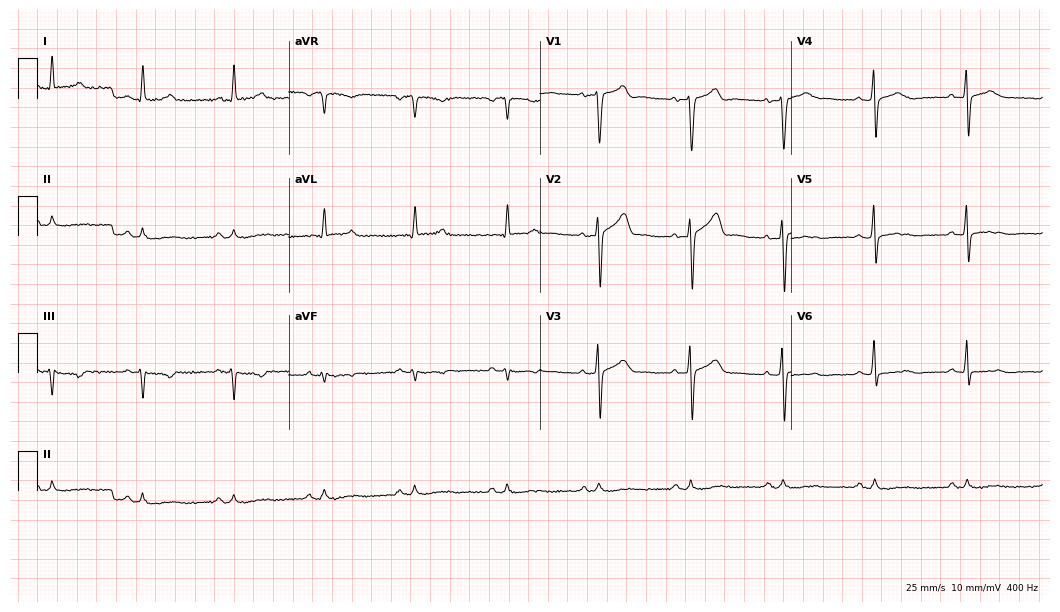
Electrocardiogram (10.2-second recording at 400 Hz), a 70-year-old male patient. Of the six screened findings (first-degree AV block, right bundle branch block, left bundle branch block, sinus bradycardia, atrial fibrillation, sinus tachycardia), none is recorded.